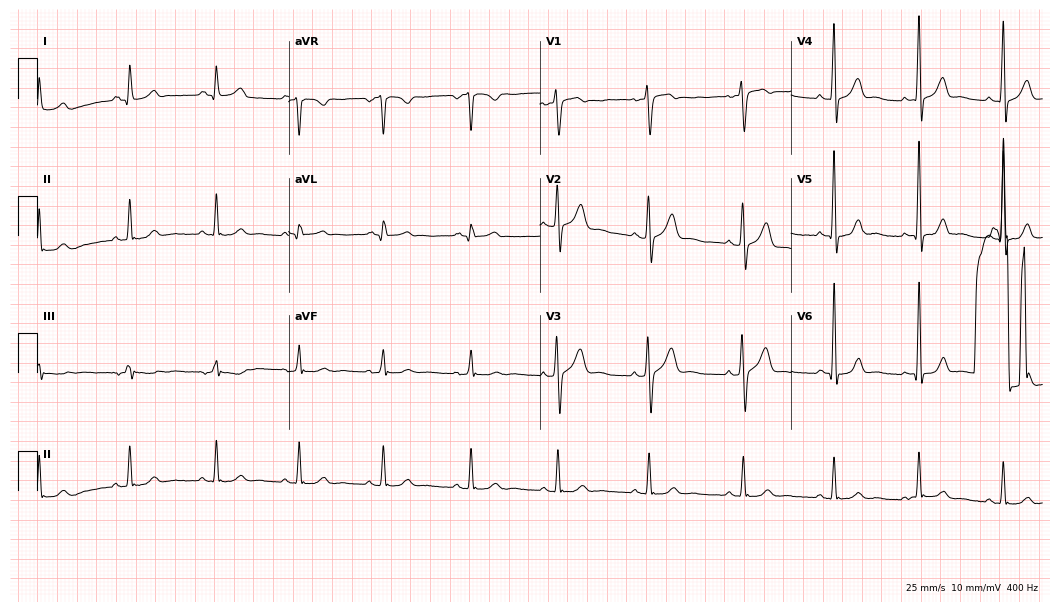
12-lead ECG from a male, 36 years old. No first-degree AV block, right bundle branch block (RBBB), left bundle branch block (LBBB), sinus bradycardia, atrial fibrillation (AF) or sinus tachycardia recorded for this tracing. Only these six findings were labelled.